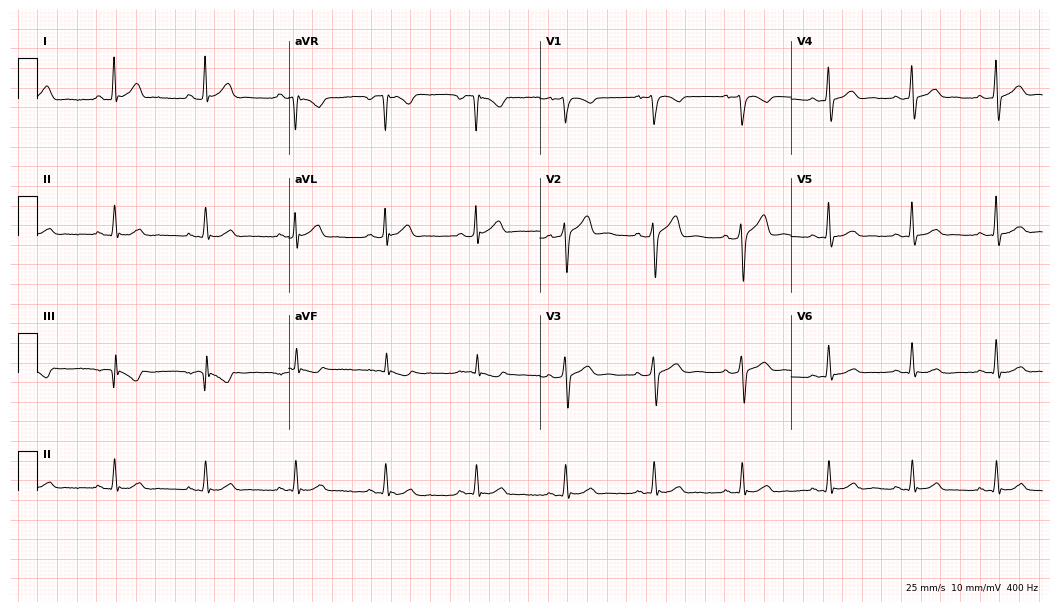
12-lead ECG from a man, 58 years old. Labelled as a normal ECG.